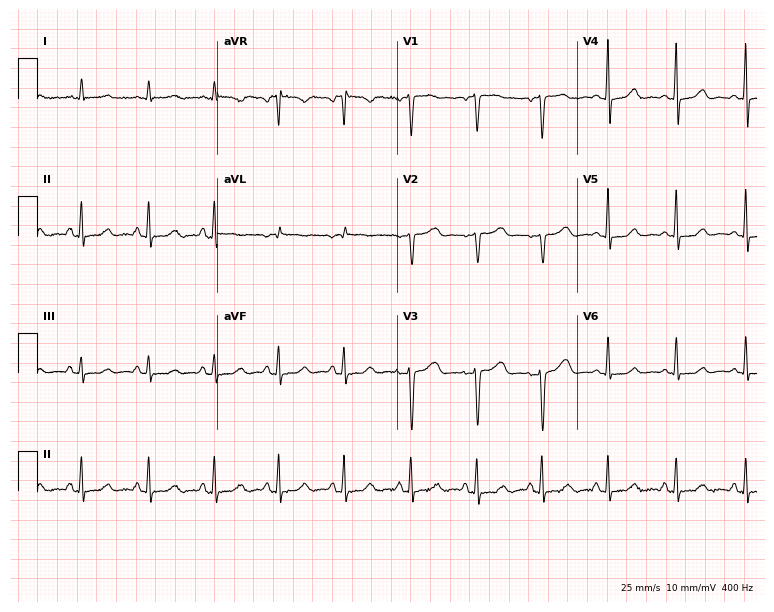
Resting 12-lead electrocardiogram. Patient: a 53-year-old woman. Read as a normal ECG.